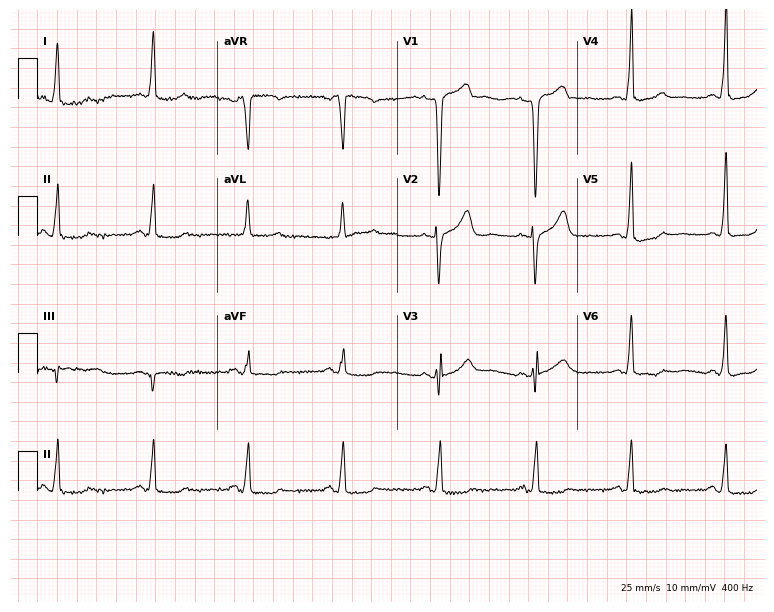
12-lead ECG from a female patient, 21 years old. No first-degree AV block, right bundle branch block (RBBB), left bundle branch block (LBBB), sinus bradycardia, atrial fibrillation (AF) or sinus tachycardia recorded for this tracing.